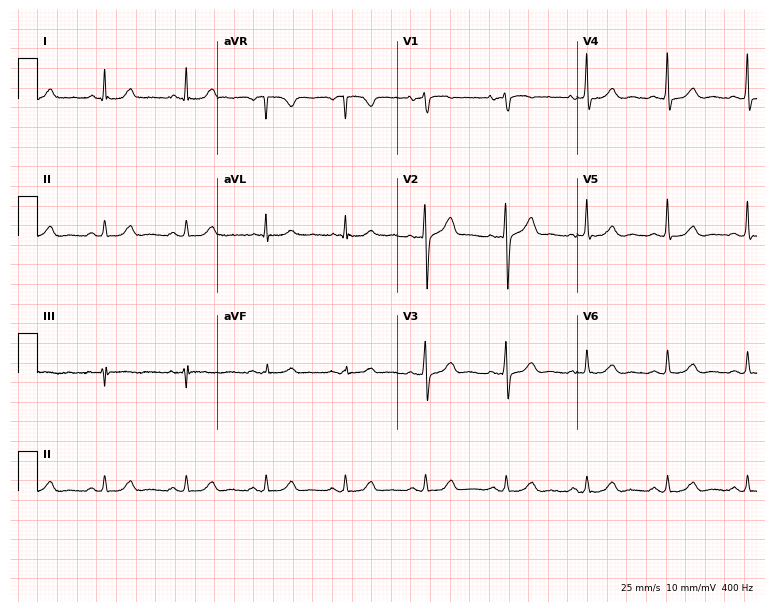
Resting 12-lead electrocardiogram. Patient: a 72-year-old man. Read as a normal ECG.